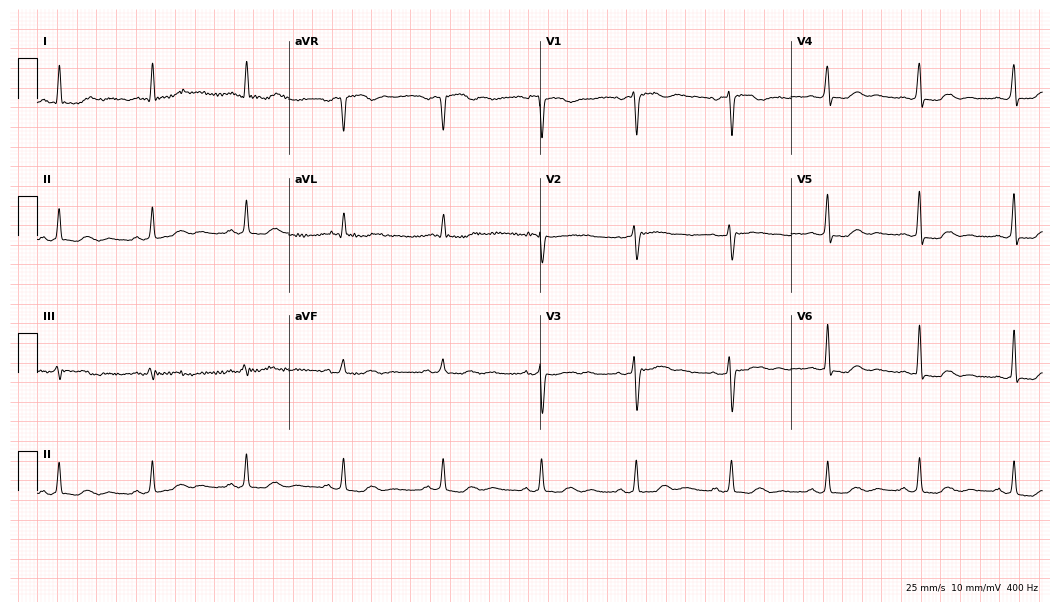
Resting 12-lead electrocardiogram. Patient: a 37-year-old female. None of these six findings is recorded: first-degree AV block, right bundle branch block, left bundle branch block, sinus bradycardia, atrial fibrillation, sinus tachycardia.